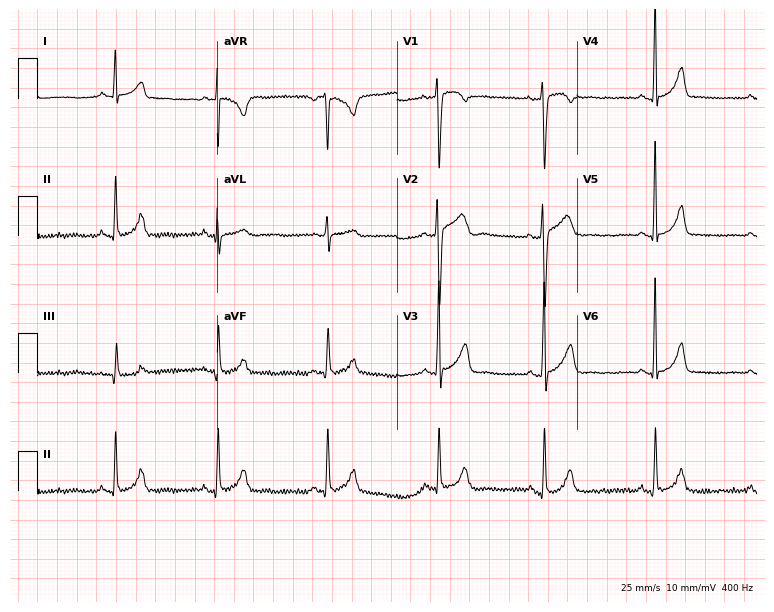
ECG (7.3-second recording at 400 Hz) — a male patient, 26 years old. Screened for six findings — first-degree AV block, right bundle branch block (RBBB), left bundle branch block (LBBB), sinus bradycardia, atrial fibrillation (AF), sinus tachycardia — none is recorded.